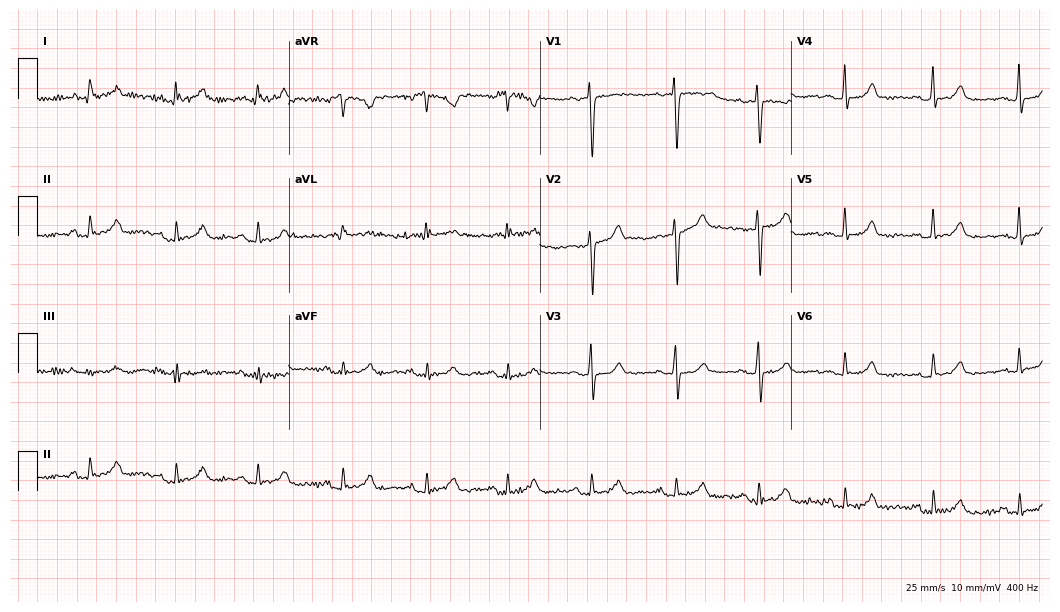
Electrocardiogram, a woman, 59 years old. Of the six screened findings (first-degree AV block, right bundle branch block, left bundle branch block, sinus bradycardia, atrial fibrillation, sinus tachycardia), none is recorded.